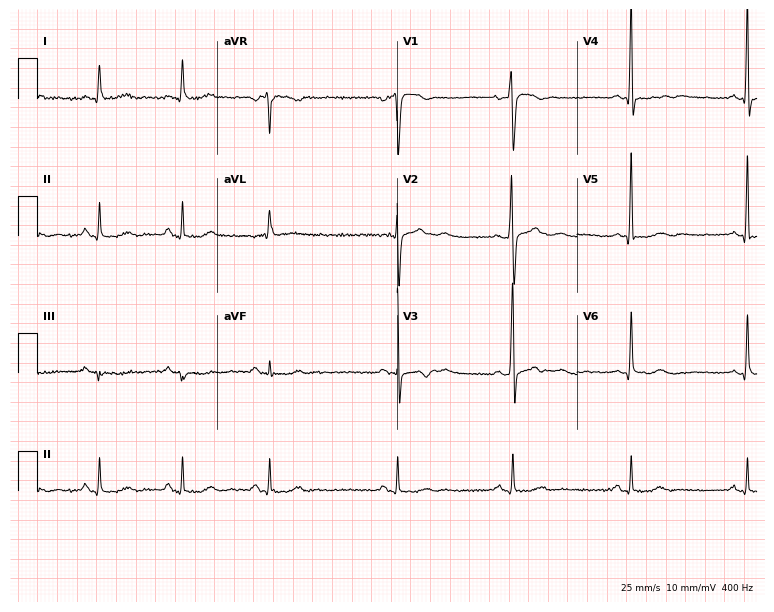
12-lead ECG from a 73-year-old male. No first-degree AV block, right bundle branch block, left bundle branch block, sinus bradycardia, atrial fibrillation or sinus tachycardia recorded for this tracing.